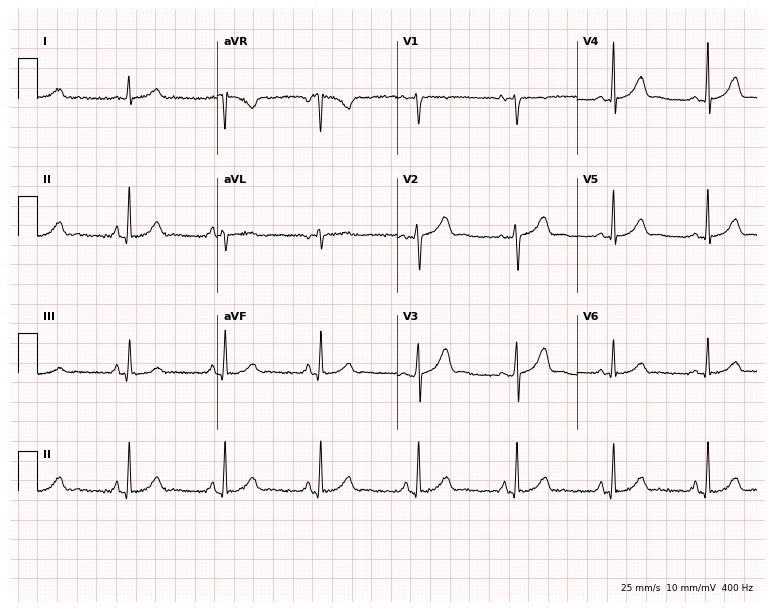
Standard 12-lead ECG recorded from a woman, 20 years old. None of these six findings is recorded: first-degree AV block, right bundle branch block (RBBB), left bundle branch block (LBBB), sinus bradycardia, atrial fibrillation (AF), sinus tachycardia. Only these six findings were labelled.